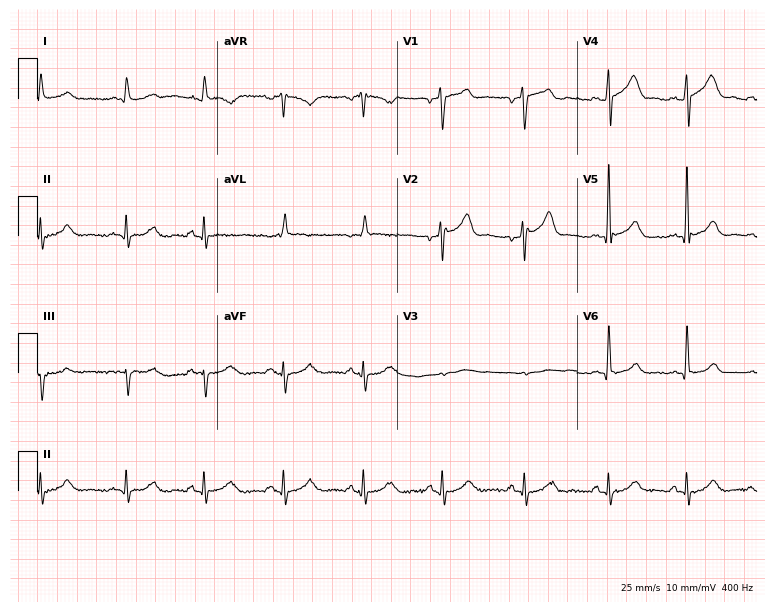
ECG — a male patient, 55 years old. Screened for six findings — first-degree AV block, right bundle branch block (RBBB), left bundle branch block (LBBB), sinus bradycardia, atrial fibrillation (AF), sinus tachycardia — none is recorded. Other findings, if any, are not listed.